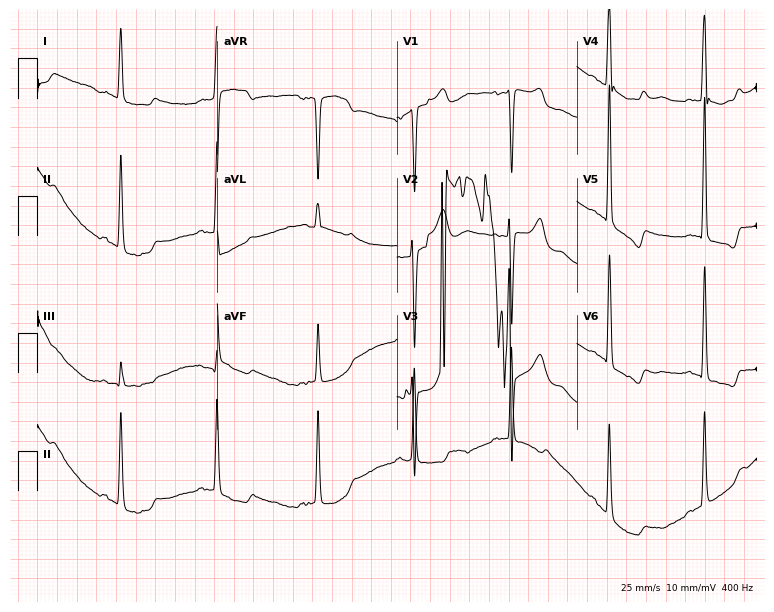
Electrocardiogram (7.3-second recording at 400 Hz), a woman, 63 years old. Of the six screened findings (first-degree AV block, right bundle branch block, left bundle branch block, sinus bradycardia, atrial fibrillation, sinus tachycardia), none is recorded. Findings outside these six are not listed.